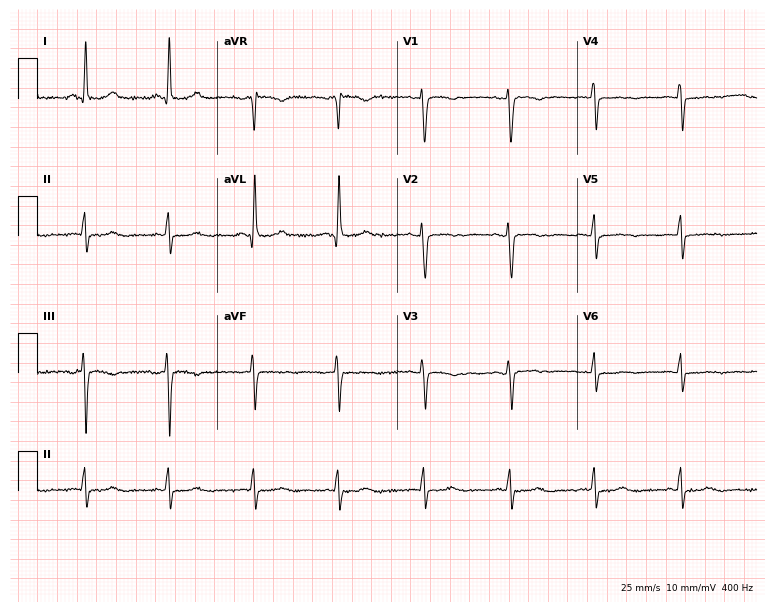
12-lead ECG from a 43-year-old female patient. Screened for six findings — first-degree AV block, right bundle branch block (RBBB), left bundle branch block (LBBB), sinus bradycardia, atrial fibrillation (AF), sinus tachycardia — none is recorded.